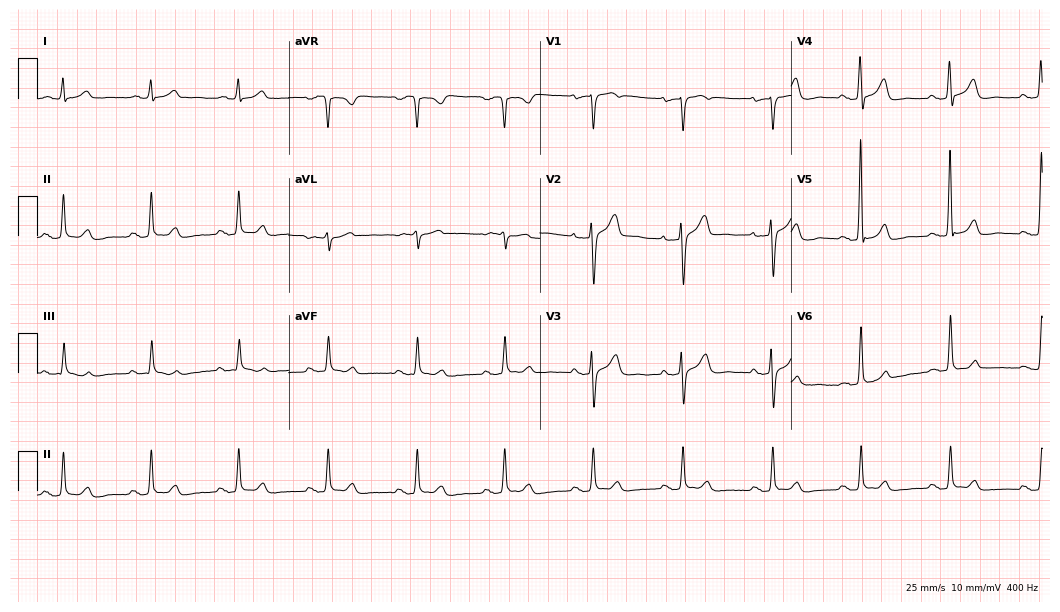
Electrocardiogram, a 60-year-old male. Overall reading on record: normal ECG.